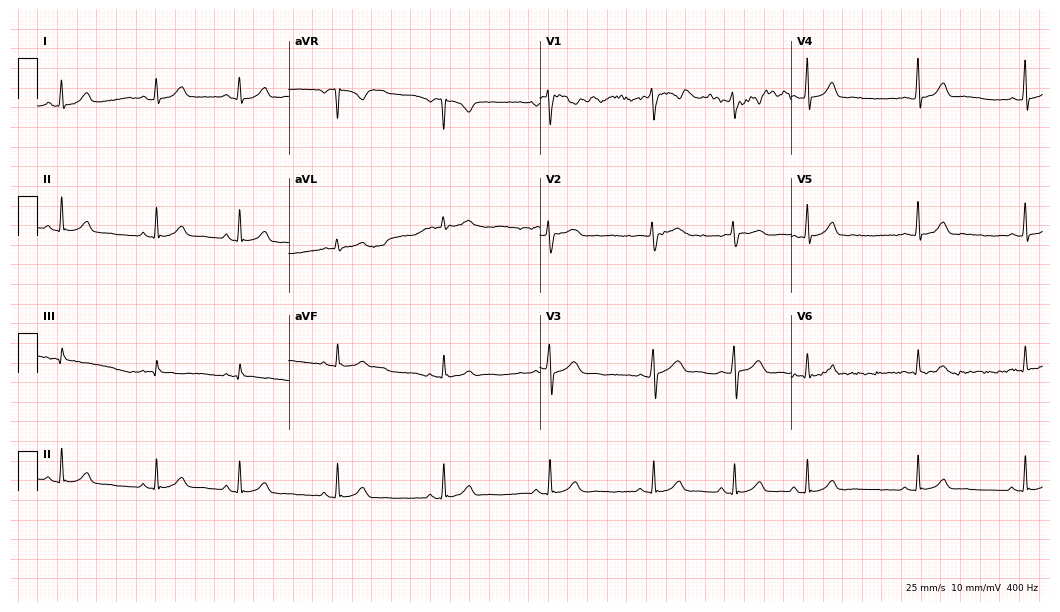
Electrocardiogram (10.2-second recording at 400 Hz), a 19-year-old female patient. Overall reading on record: normal ECG.